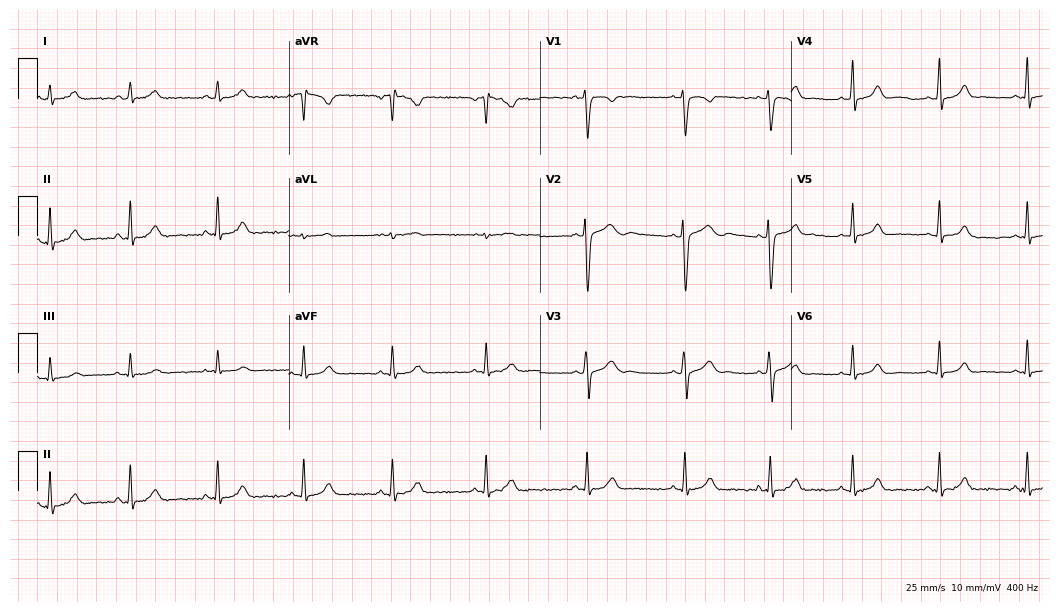
ECG — a female patient, 25 years old. Labelled as a normal ECG.